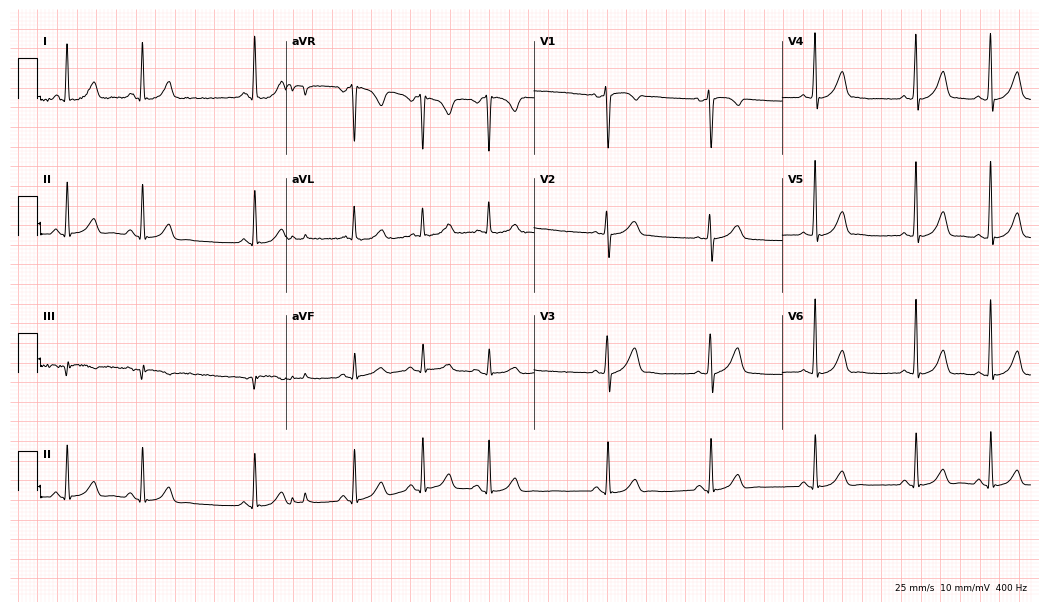
12-lead ECG from a 17-year-old female. Labelled as a normal ECG.